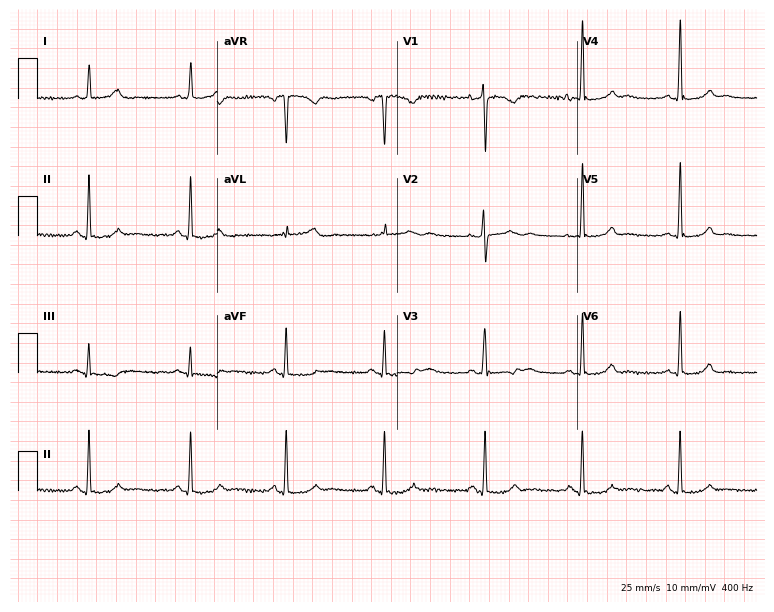
Standard 12-lead ECG recorded from a female, 36 years old. Read as a normal ECG.